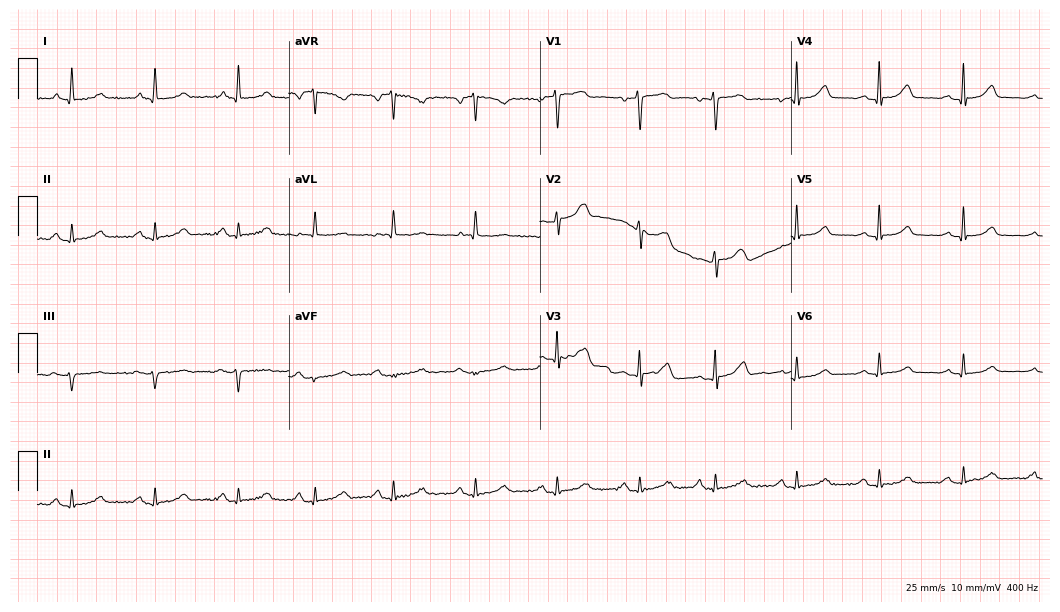
Electrocardiogram (10.2-second recording at 400 Hz), a 69-year-old female. Overall reading on record: normal ECG.